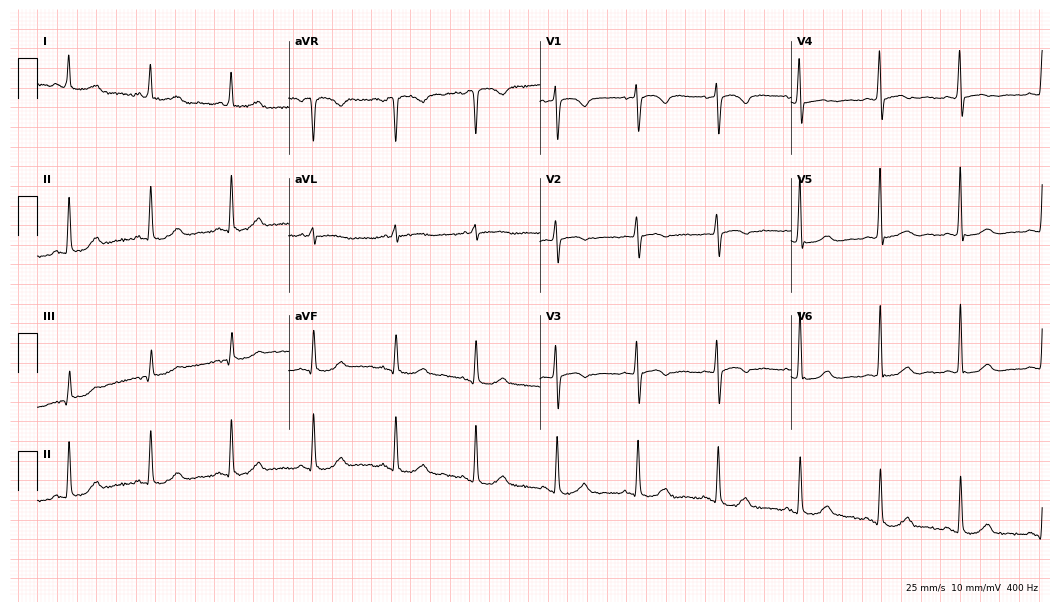
12-lead ECG (10.2-second recording at 400 Hz) from a female, 77 years old. Screened for six findings — first-degree AV block, right bundle branch block, left bundle branch block, sinus bradycardia, atrial fibrillation, sinus tachycardia — none is recorded.